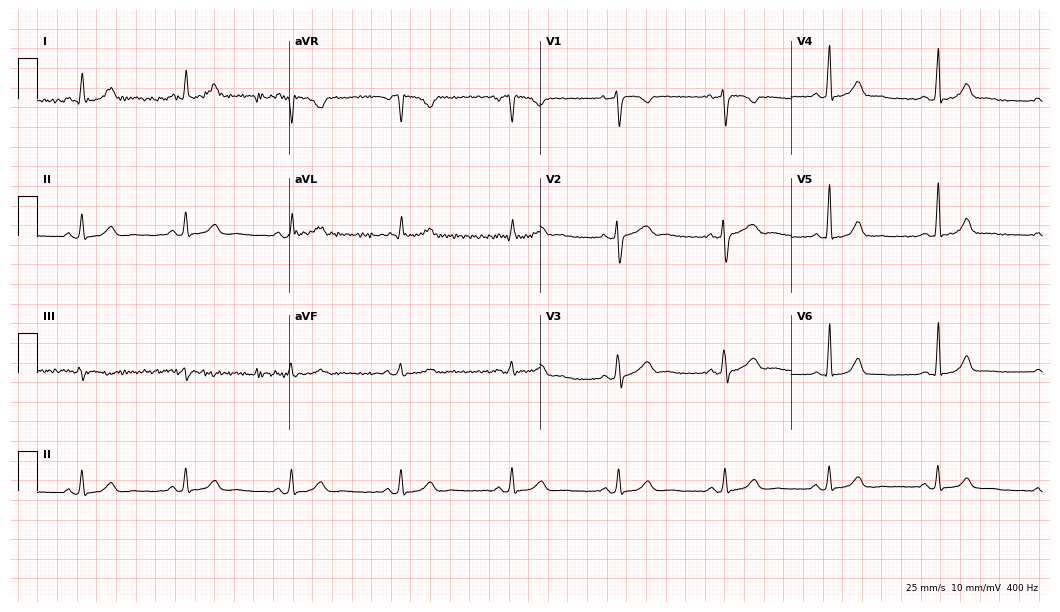
Electrocardiogram, a 35-year-old female patient. Of the six screened findings (first-degree AV block, right bundle branch block (RBBB), left bundle branch block (LBBB), sinus bradycardia, atrial fibrillation (AF), sinus tachycardia), none is recorded. Other findings, if any, are not listed.